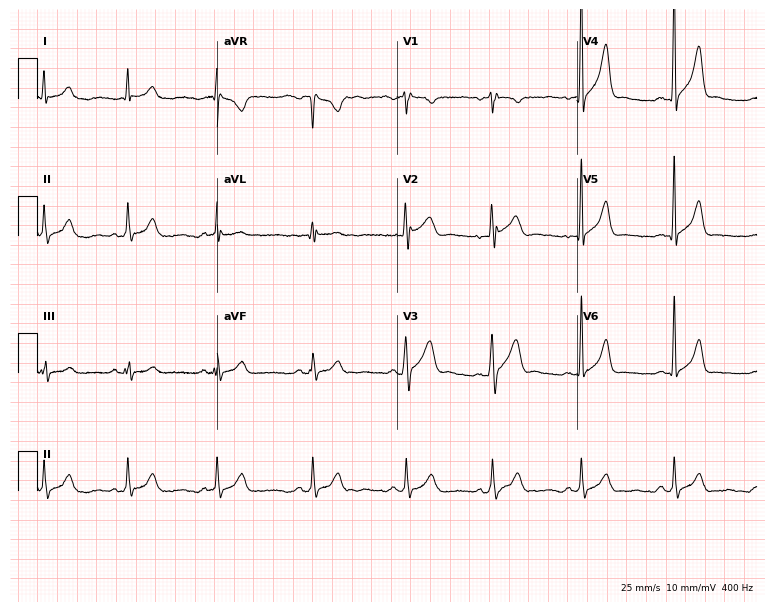
ECG (7.3-second recording at 400 Hz) — a male, 24 years old. Labelled as a normal ECG.